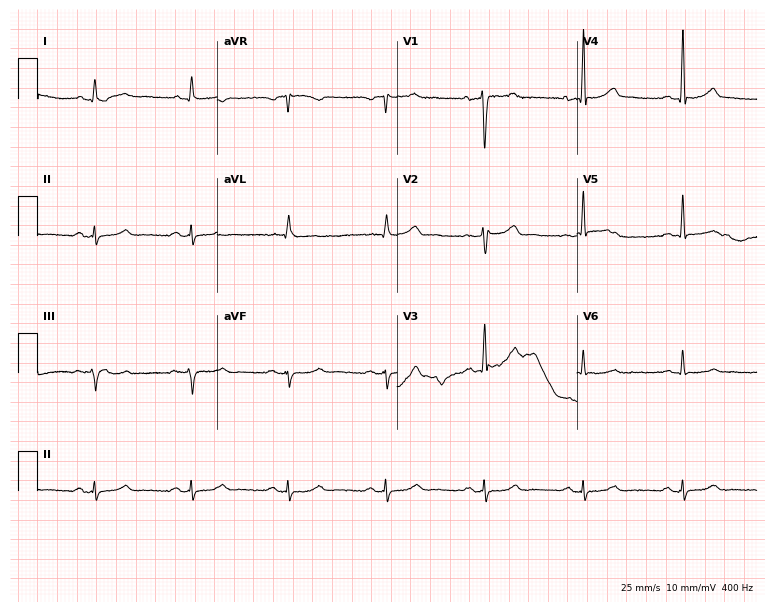
12-lead ECG from a 40-year-old male patient. No first-degree AV block, right bundle branch block (RBBB), left bundle branch block (LBBB), sinus bradycardia, atrial fibrillation (AF) or sinus tachycardia recorded for this tracing.